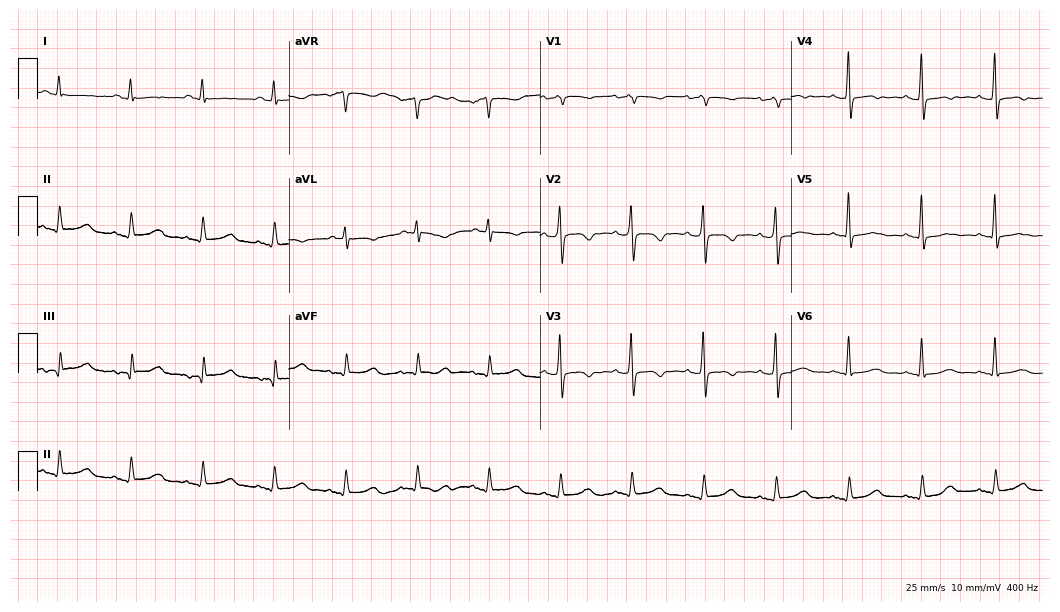
12-lead ECG (10.2-second recording at 400 Hz) from a female, 56 years old. Screened for six findings — first-degree AV block, right bundle branch block, left bundle branch block, sinus bradycardia, atrial fibrillation, sinus tachycardia — none is recorded.